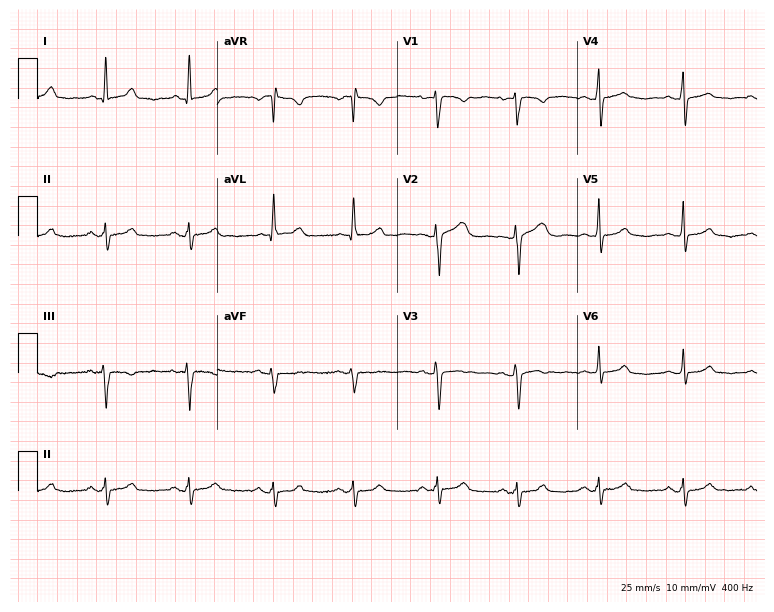
Standard 12-lead ECG recorded from a female patient, 38 years old. Read as a normal ECG.